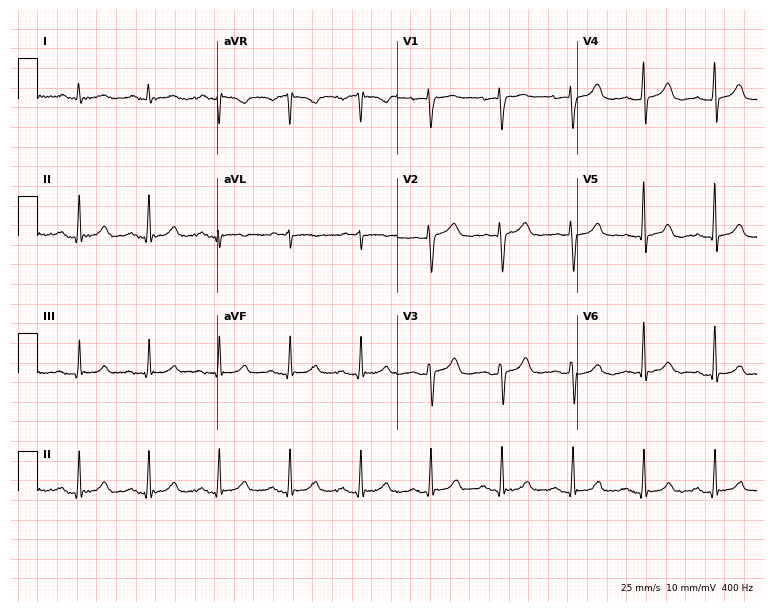
Standard 12-lead ECG recorded from a 53-year-old female. None of these six findings is recorded: first-degree AV block, right bundle branch block, left bundle branch block, sinus bradycardia, atrial fibrillation, sinus tachycardia. Findings outside these six are not listed.